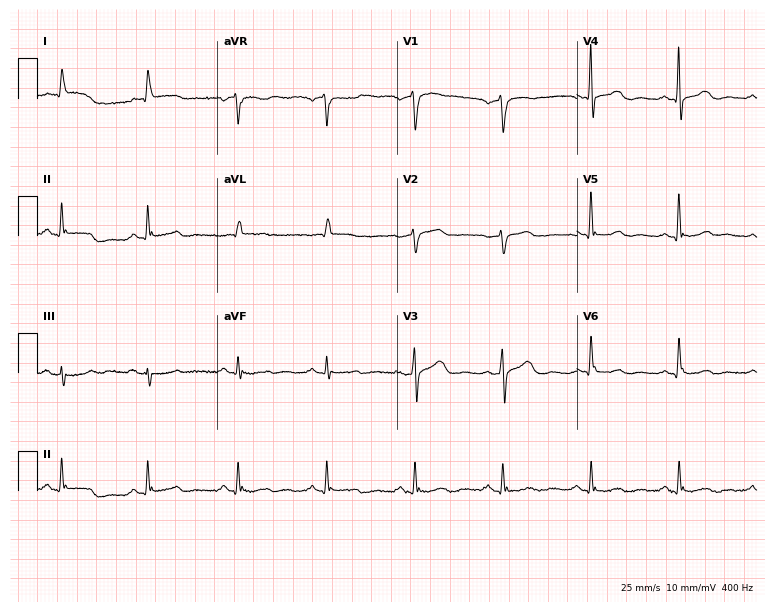
12-lead ECG from a 76-year-old female. Labelled as a normal ECG.